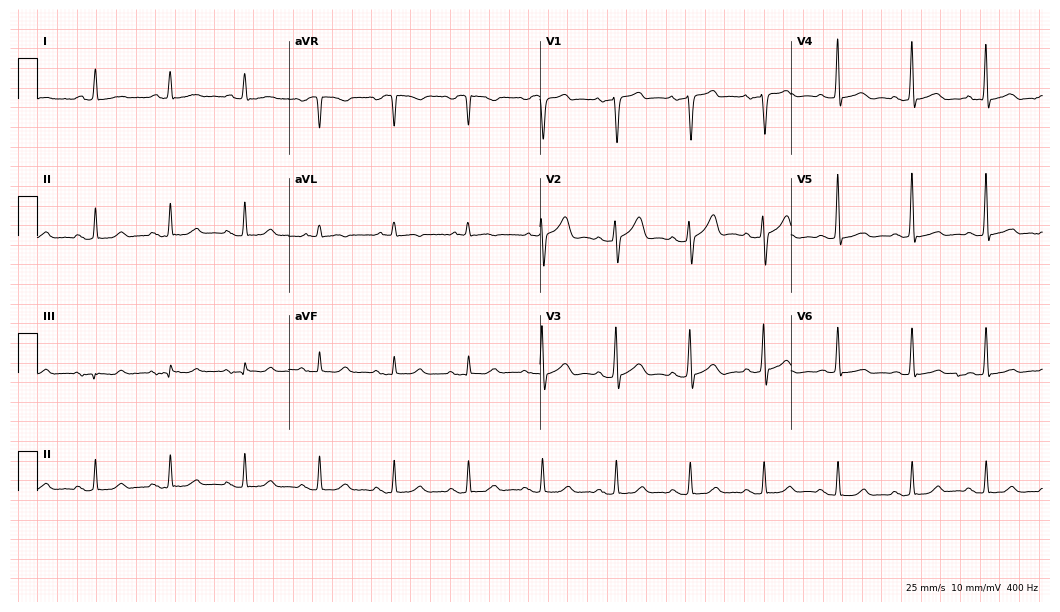
Resting 12-lead electrocardiogram. Patient: a male, 72 years old. None of these six findings is recorded: first-degree AV block, right bundle branch block (RBBB), left bundle branch block (LBBB), sinus bradycardia, atrial fibrillation (AF), sinus tachycardia. Other findings, if any, are not listed.